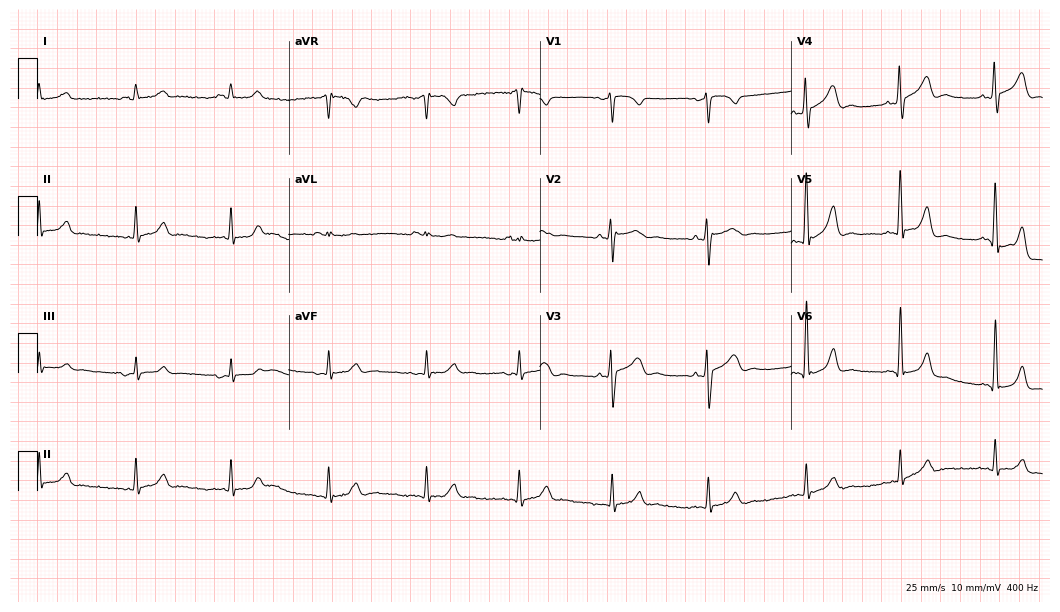
Standard 12-lead ECG recorded from a 55-year-old man (10.2-second recording at 400 Hz). Read as a normal ECG.